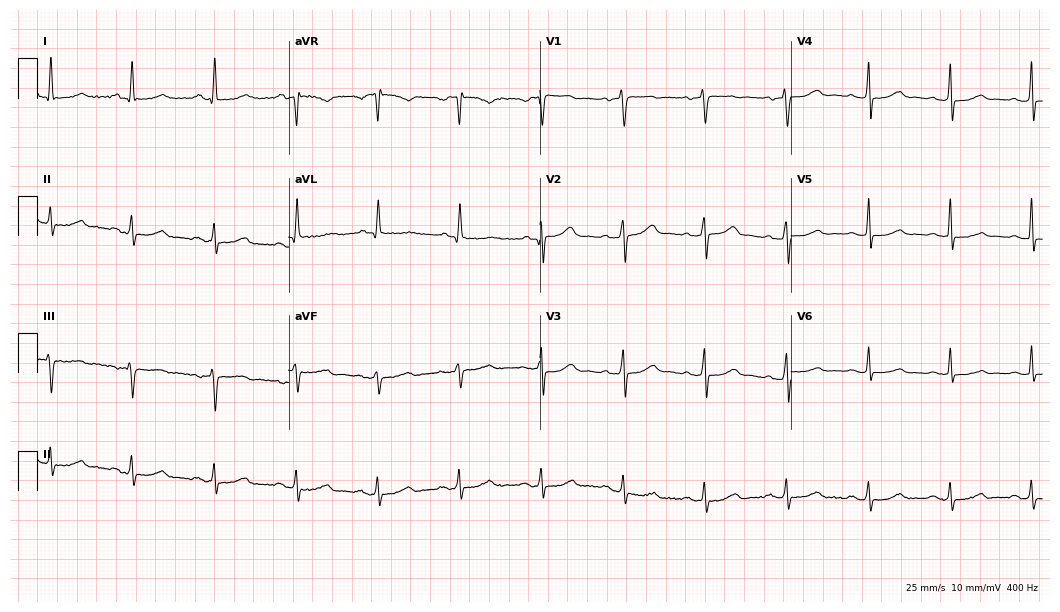
12-lead ECG from a female patient, 66 years old. Recorded interpretation: within normal limits.